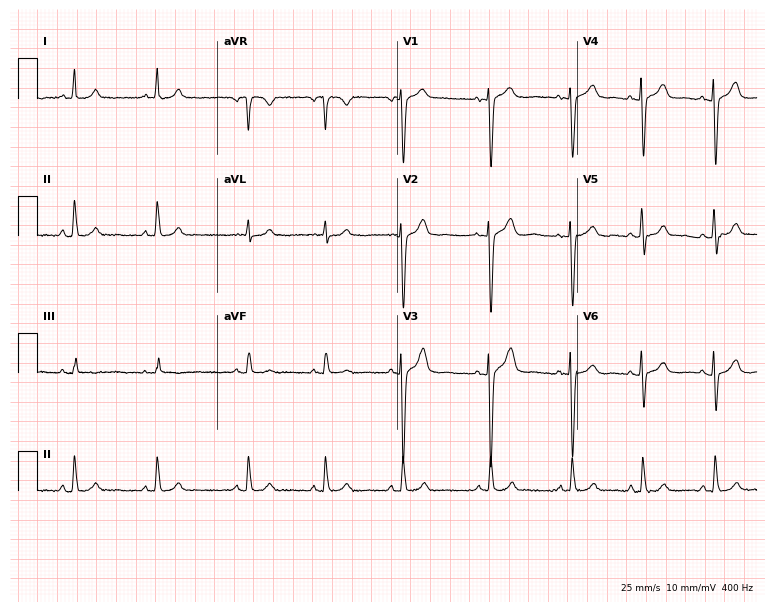
Electrocardiogram, a male patient, 18 years old. Of the six screened findings (first-degree AV block, right bundle branch block, left bundle branch block, sinus bradycardia, atrial fibrillation, sinus tachycardia), none is recorded.